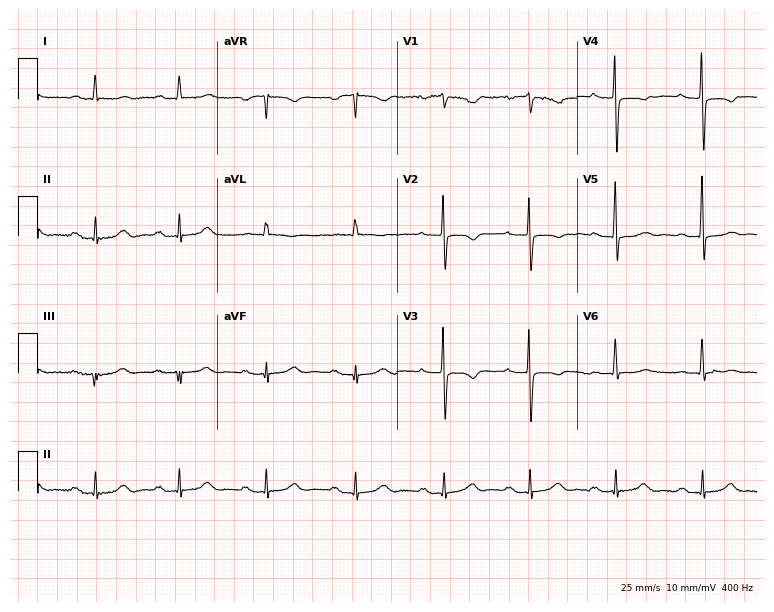
12-lead ECG (7.3-second recording at 400 Hz) from an 81-year-old woman. Findings include first-degree AV block.